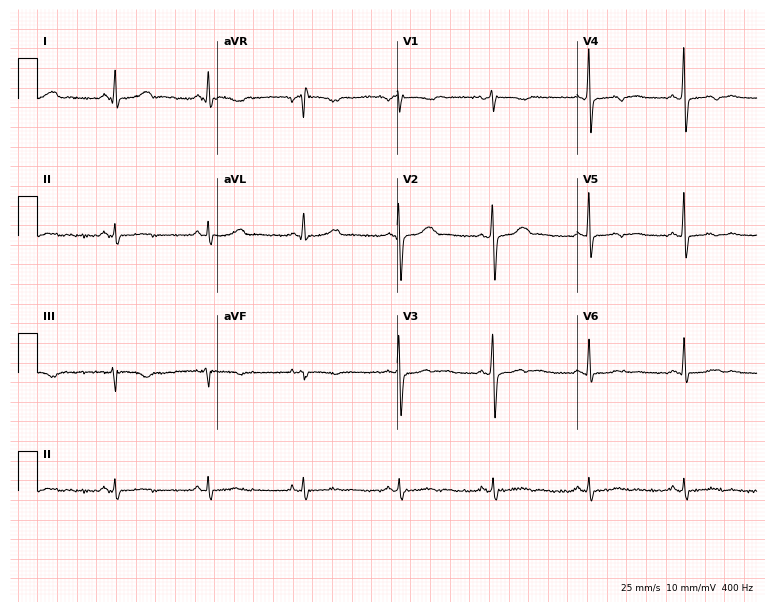
ECG (7.3-second recording at 400 Hz) — a 44-year-old man. Screened for six findings — first-degree AV block, right bundle branch block, left bundle branch block, sinus bradycardia, atrial fibrillation, sinus tachycardia — none is recorded. Other findings, if any, are not listed.